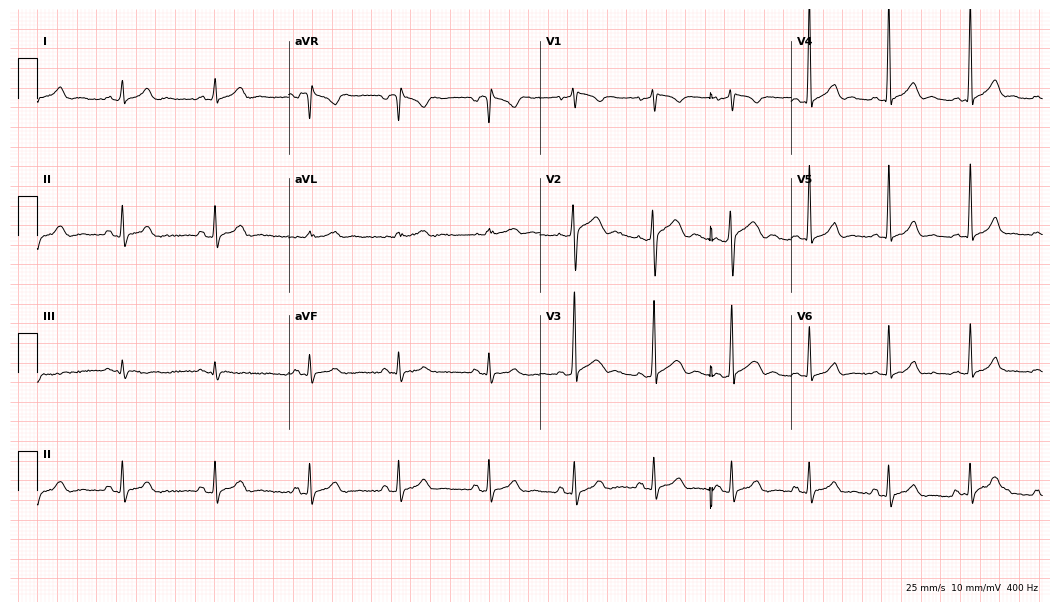
Electrocardiogram (10.2-second recording at 400 Hz), a 25-year-old male. Overall reading on record: normal ECG.